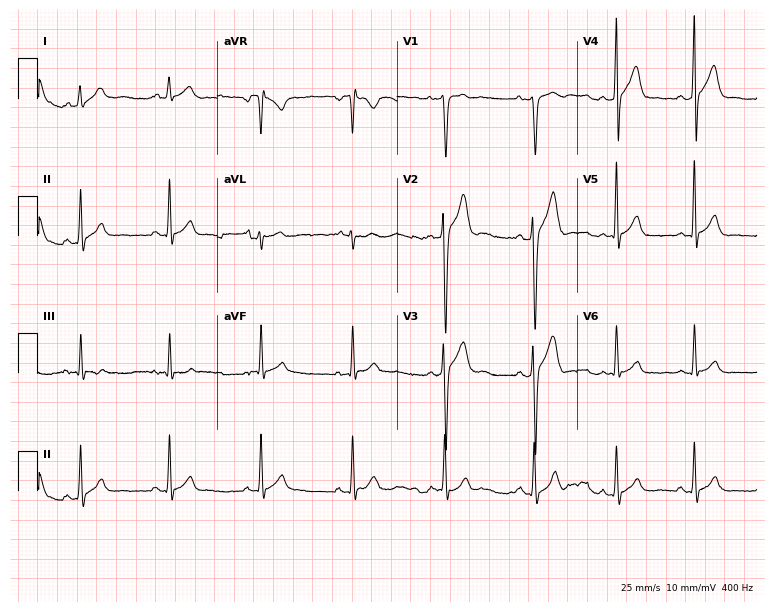
Resting 12-lead electrocardiogram. Patient: a man, 19 years old. Read as a normal ECG.